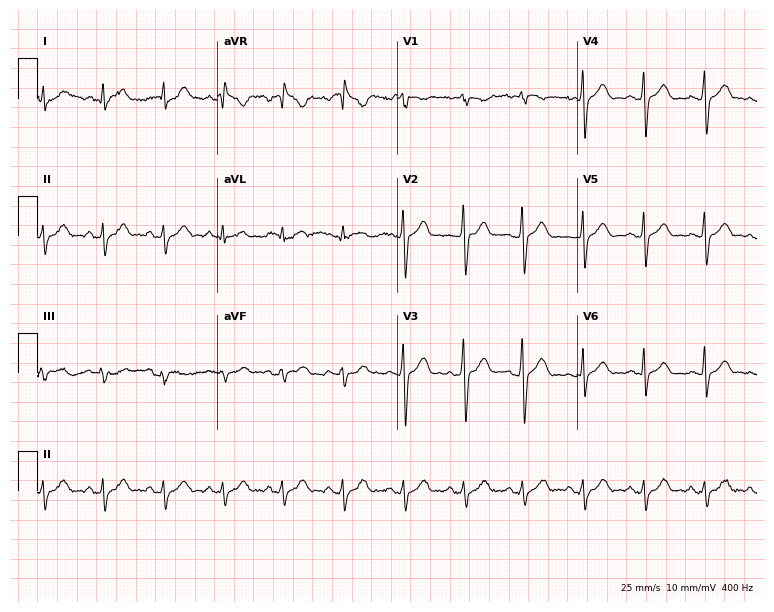
12-lead ECG from a 24-year-old man. Screened for six findings — first-degree AV block, right bundle branch block, left bundle branch block, sinus bradycardia, atrial fibrillation, sinus tachycardia — none is recorded. Only these six findings were labelled.